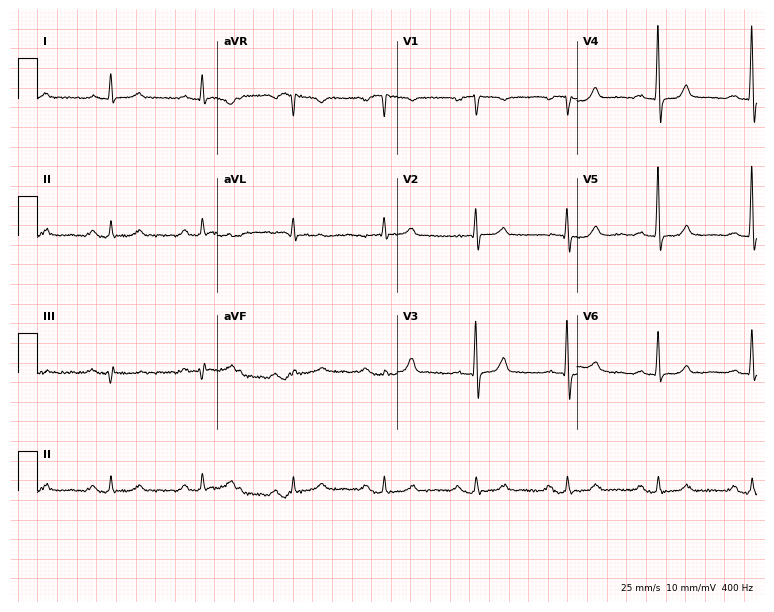
12-lead ECG from an 81-year-old female. Recorded interpretation: within normal limits.